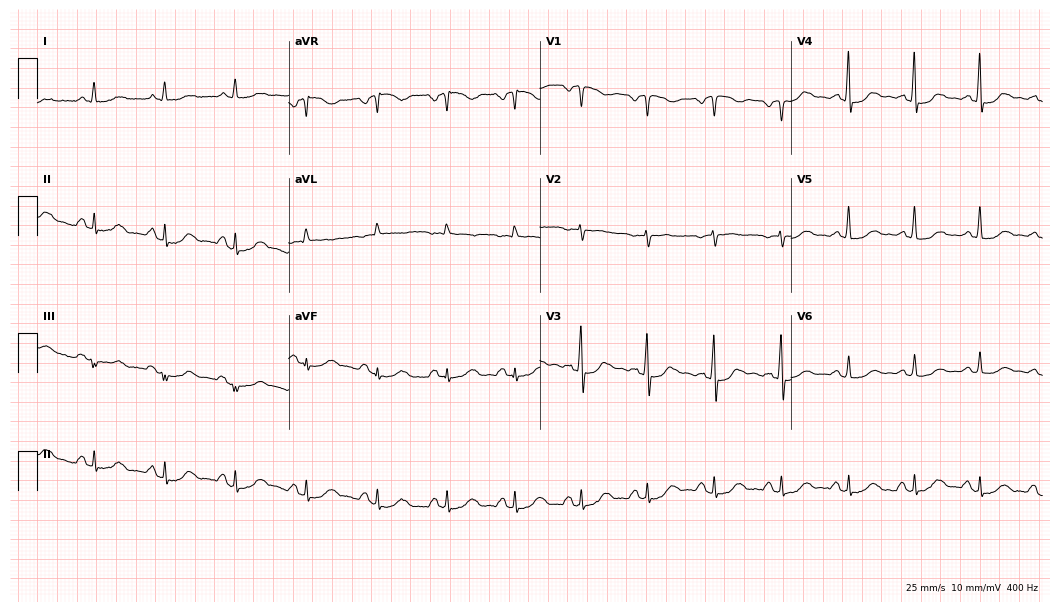
12-lead ECG from a female, 59 years old. No first-degree AV block, right bundle branch block, left bundle branch block, sinus bradycardia, atrial fibrillation or sinus tachycardia recorded for this tracing. Other findings, if any, are not listed.